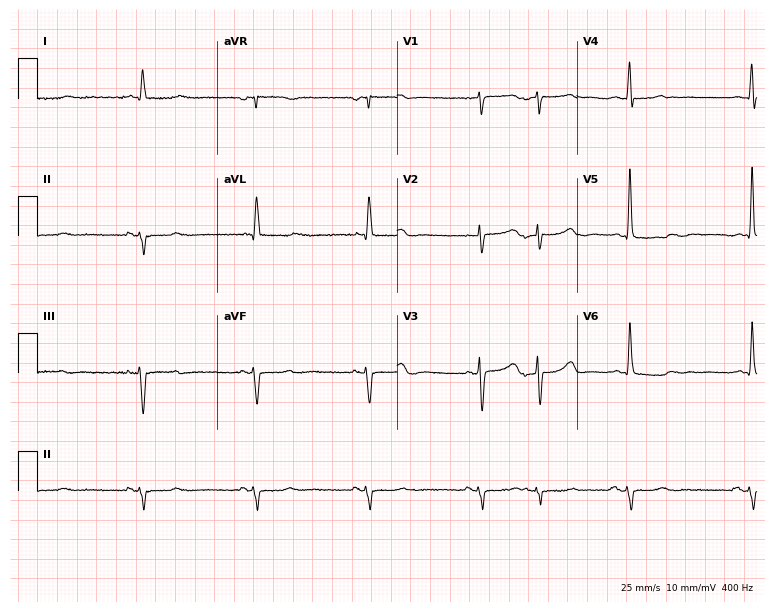
12-lead ECG (7.3-second recording at 400 Hz) from a 71-year-old male patient. Screened for six findings — first-degree AV block, right bundle branch block, left bundle branch block, sinus bradycardia, atrial fibrillation, sinus tachycardia — none is recorded.